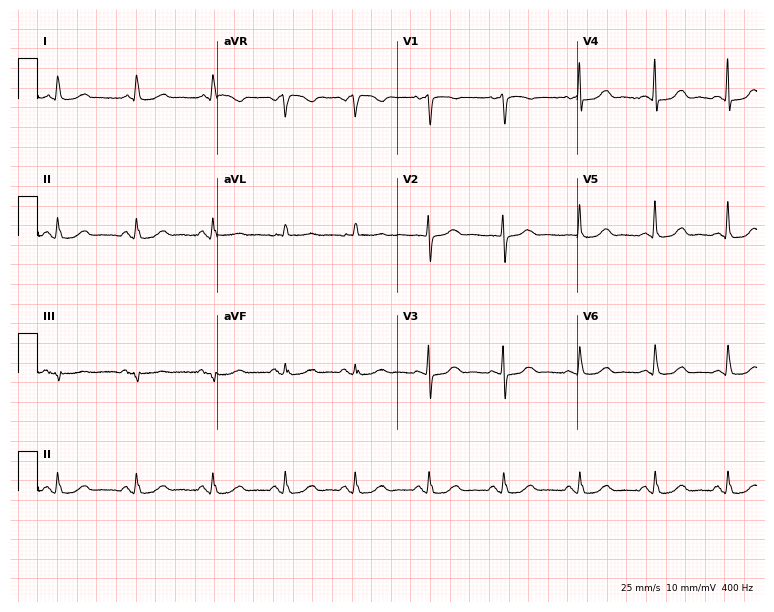
Standard 12-lead ECG recorded from a woman, 73 years old (7.3-second recording at 400 Hz). Read as a normal ECG.